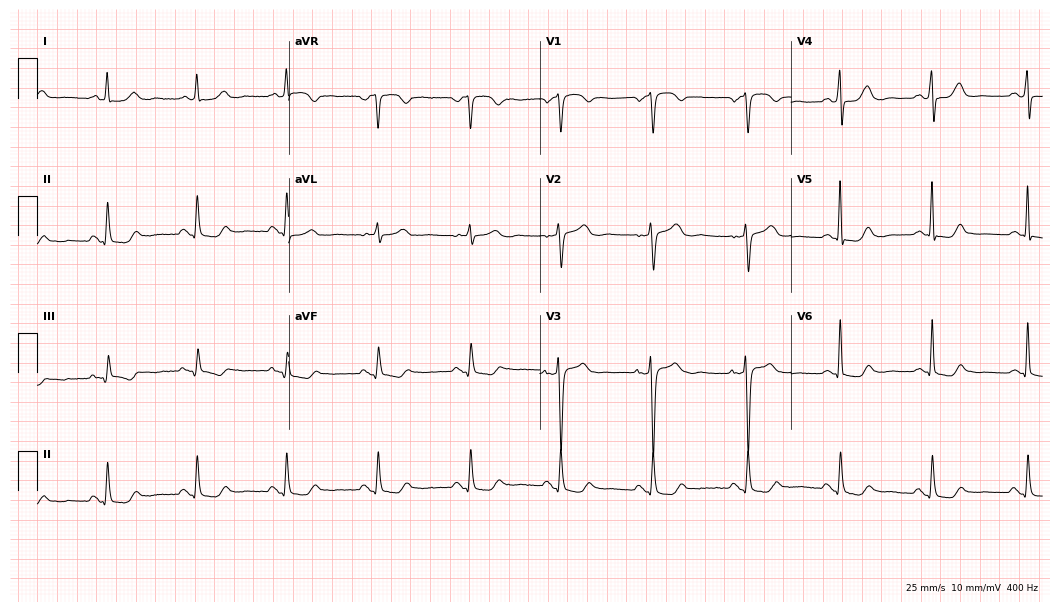
Standard 12-lead ECG recorded from a woman, 61 years old (10.2-second recording at 400 Hz). None of these six findings is recorded: first-degree AV block, right bundle branch block (RBBB), left bundle branch block (LBBB), sinus bradycardia, atrial fibrillation (AF), sinus tachycardia.